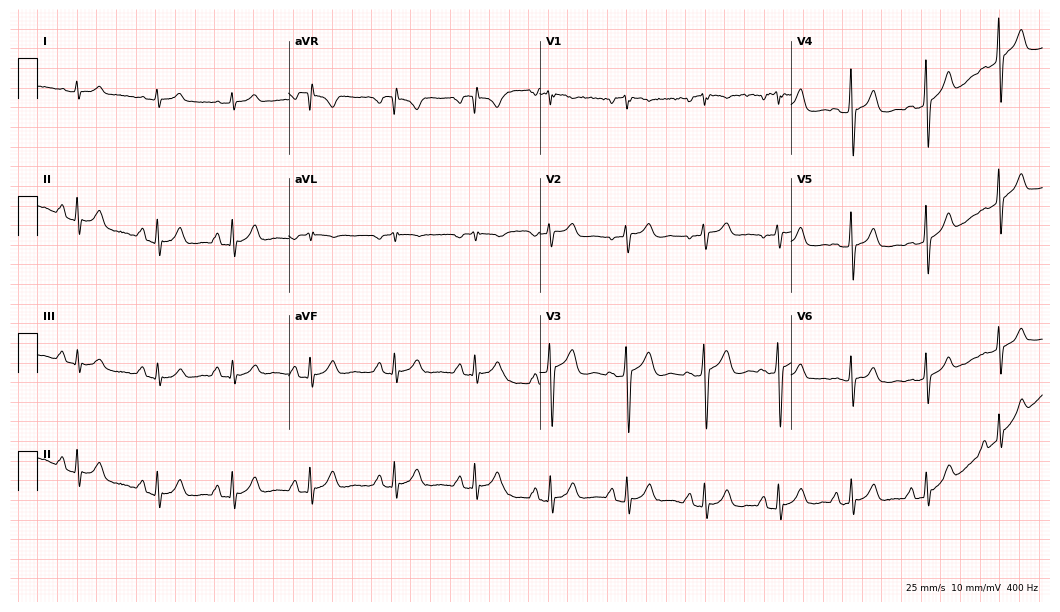
Resting 12-lead electrocardiogram. Patient: a 31-year-old male. Read as a normal ECG.